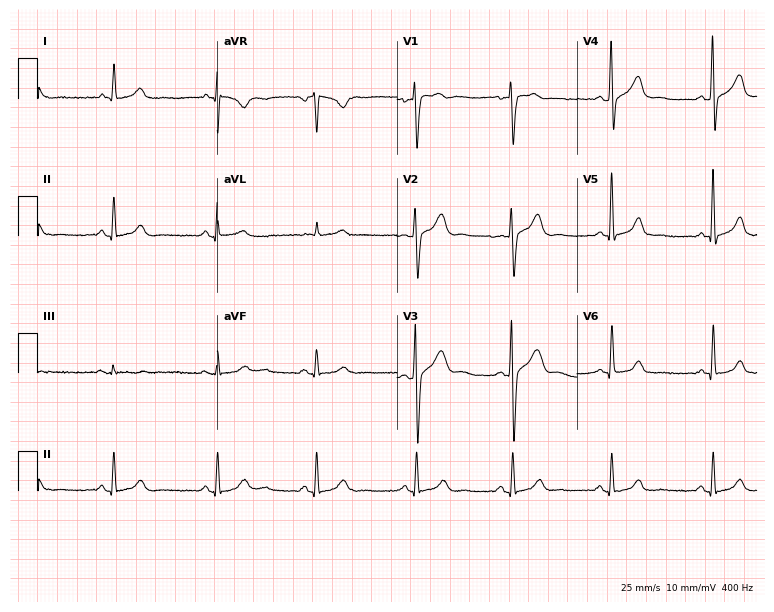
ECG — a male patient, 49 years old. Labelled as a normal ECG.